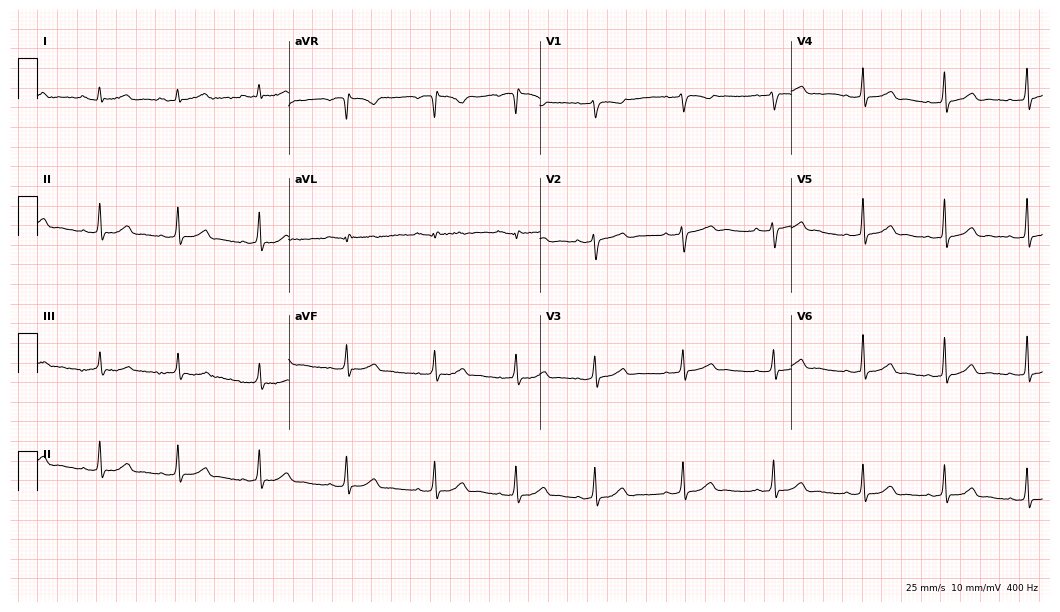
Resting 12-lead electrocardiogram. Patient: a woman, 37 years old. Read as a normal ECG.